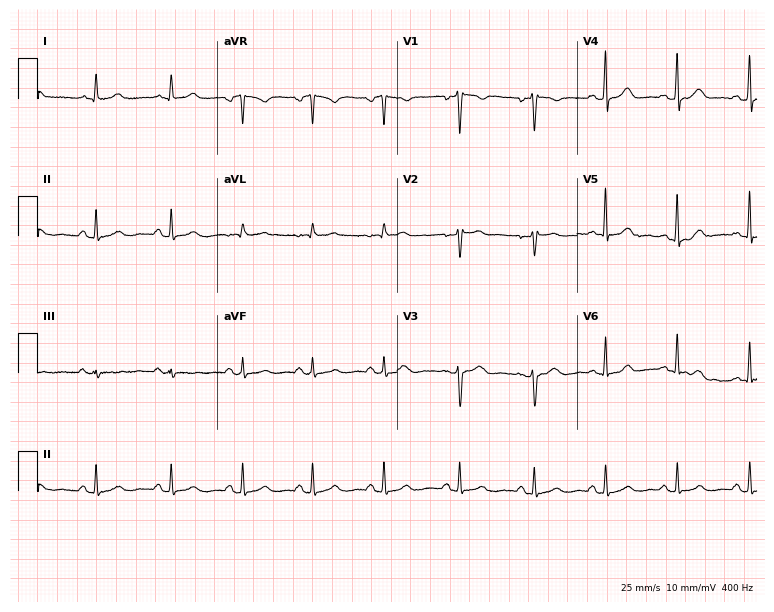
Standard 12-lead ECG recorded from a 43-year-old female patient (7.3-second recording at 400 Hz). Read as a normal ECG.